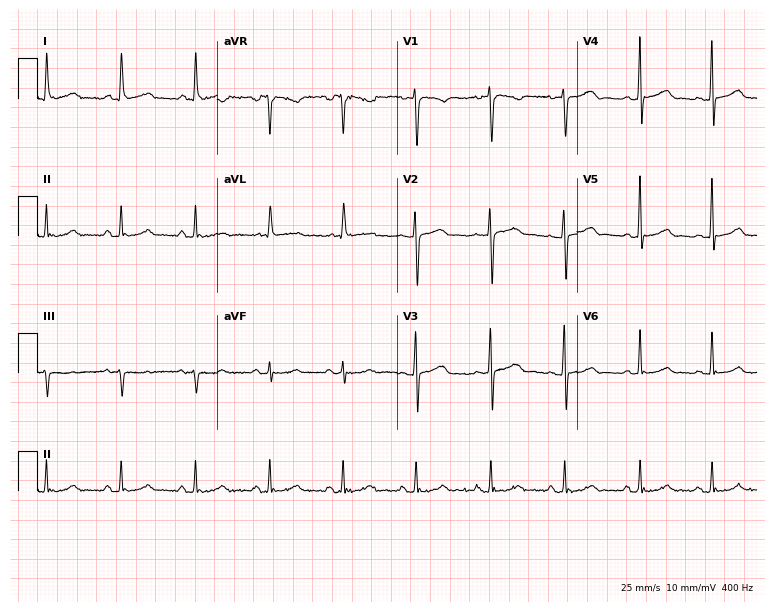
Electrocardiogram, a 75-year-old female. Overall reading on record: normal ECG.